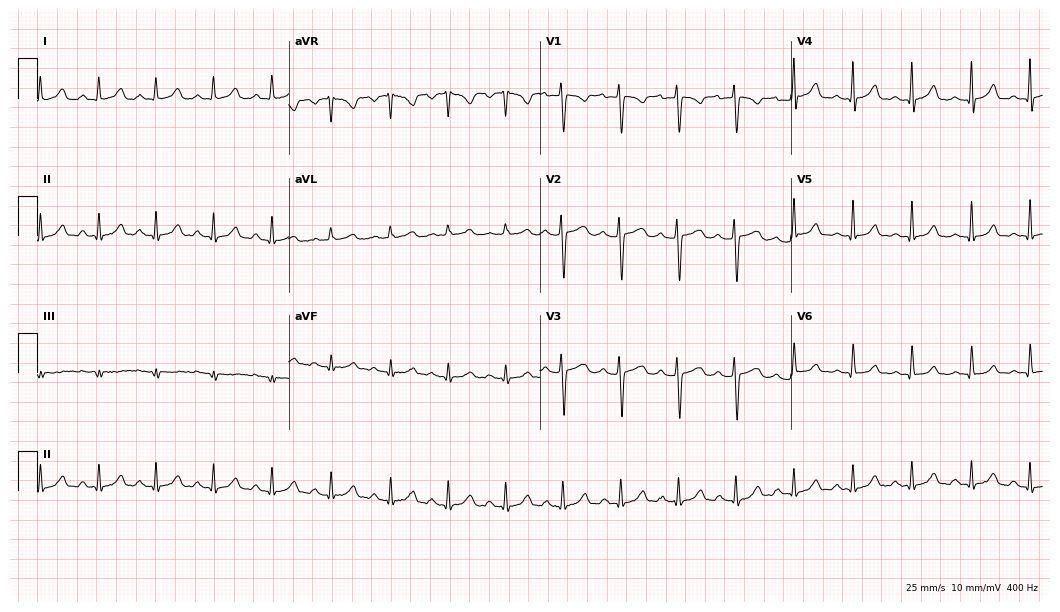
Standard 12-lead ECG recorded from a 31-year-old woman (10.2-second recording at 400 Hz). Read as a normal ECG.